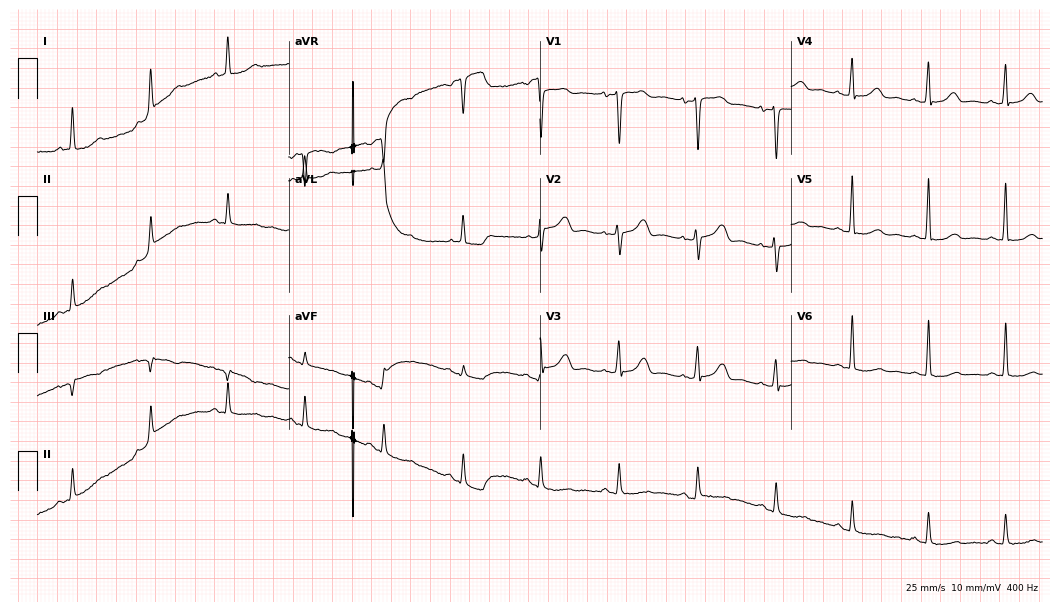
Standard 12-lead ECG recorded from a female, 62 years old. None of these six findings is recorded: first-degree AV block, right bundle branch block, left bundle branch block, sinus bradycardia, atrial fibrillation, sinus tachycardia.